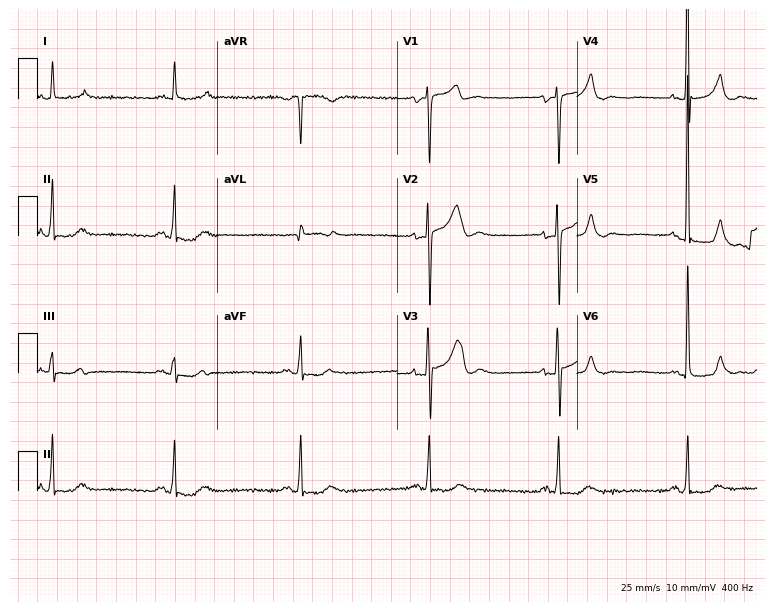
12-lead ECG from a male patient, 63 years old. Findings include right bundle branch block (RBBB).